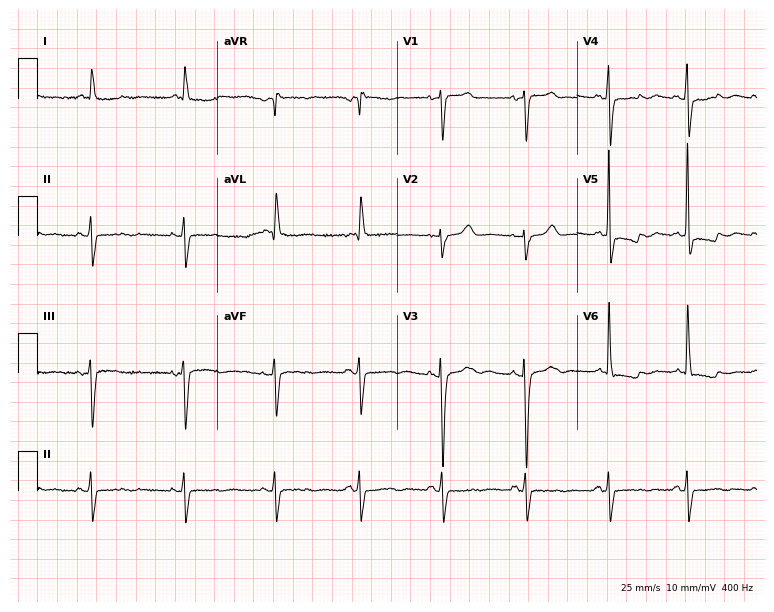
ECG (7.3-second recording at 400 Hz) — a female patient, 82 years old. Screened for six findings — first-degree AV block, right bundle branch block (RBBB), left bundle branch block (LBBB), sinus bradycardia, atrial fibrillation (AF), sinus tachycardia — none is recorded. Findings outside these six are not listed.